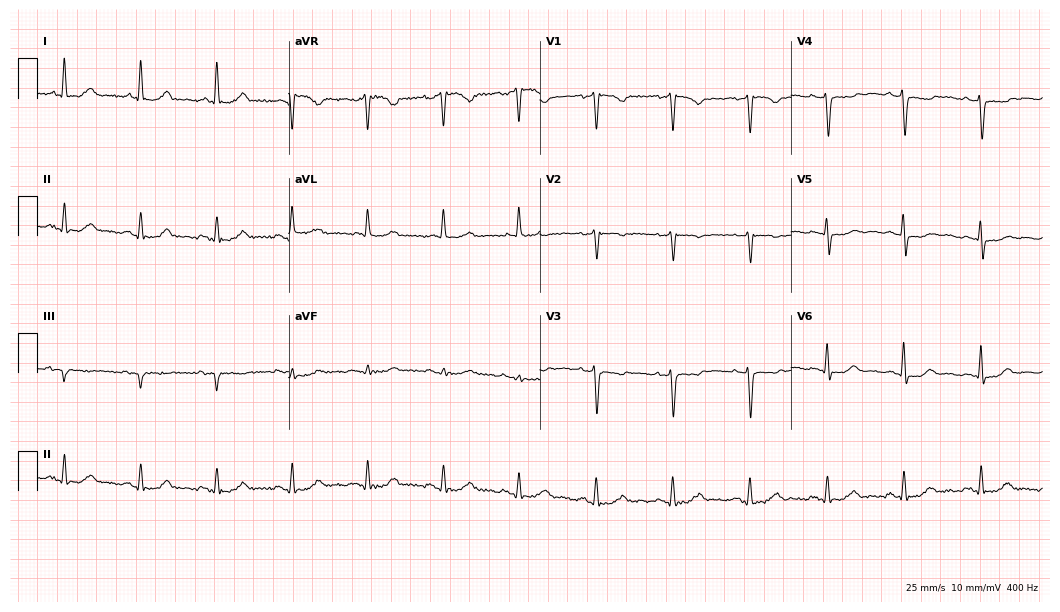
12-lead ECG from a 69-year-old woman (10.2-second recording at 400 Hz). No first-degree AV block, right bundle branch block, left bundle branch block, sinus bradycardia, atrial fibrillation or sinus tachycardia recorded for this tracing.